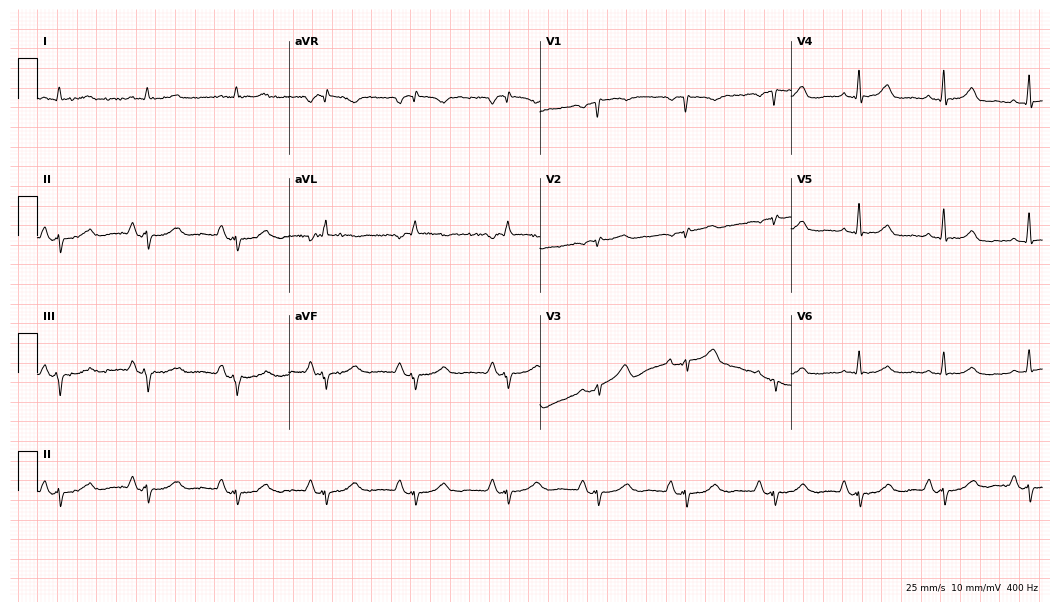
Electrocardiogram, a male patient, 76 years old. Of the six screened findings (first-degree AV block, right bundle branch block (RBBB), left bundle branch block (LBBB), sinus bradycardia, atrial fibrillation (AF), sinus tachycardia), none is recorded.